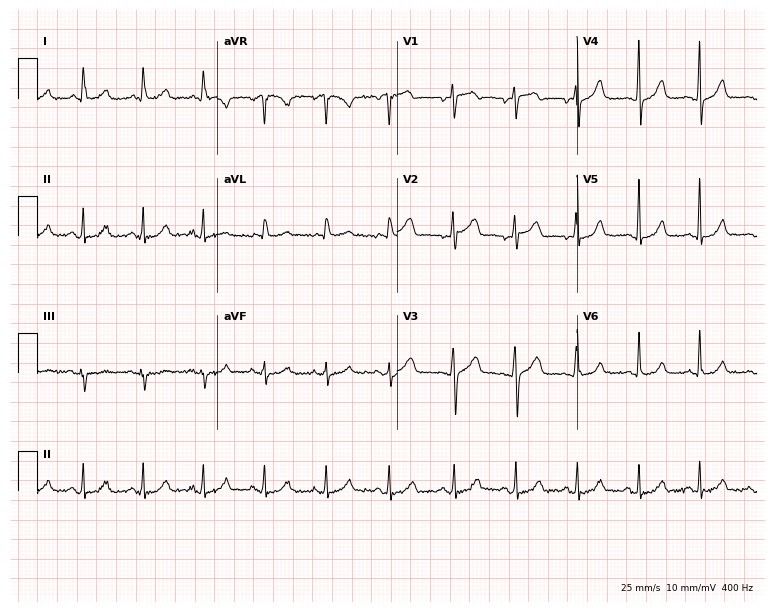
12-lead ECG (7.3-second recording at 400 Hz) from a 56-year-old woman. Screened for six findings — first-degree AV block, right bundle branch block, left bundle branch block, sinus bradycardia, atrial fibrillation, sinus tachycardia — none is recorded.